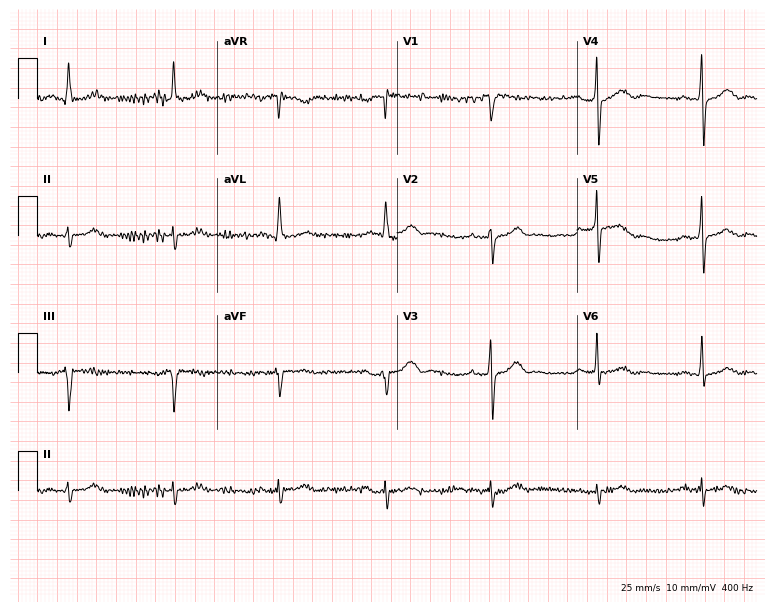
12-lead ECG from a male, 64 years old (7.3-second recording at 400 Hz). No first-degree AV block, right bundle branch block (RBBB), left bundle branch block (LBBB), sinus bradycardia, atrial fibrillation (AF) or sinus tachycardia recorded for this tracing.